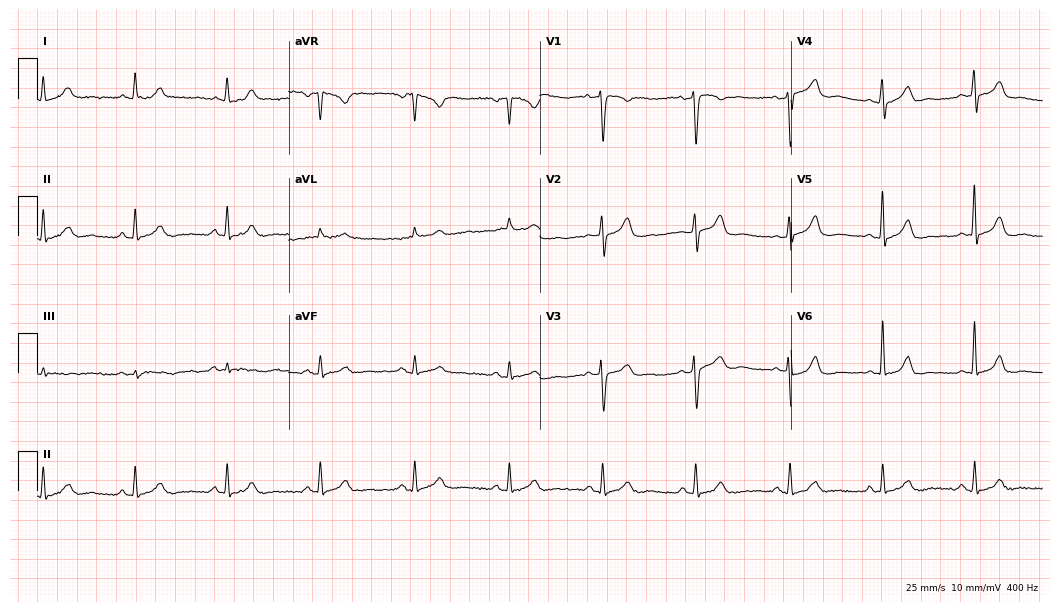
ECG (10.2-second recording at 400 Hz) — a 64-year-old male patient. Labelled as a normal ECG.